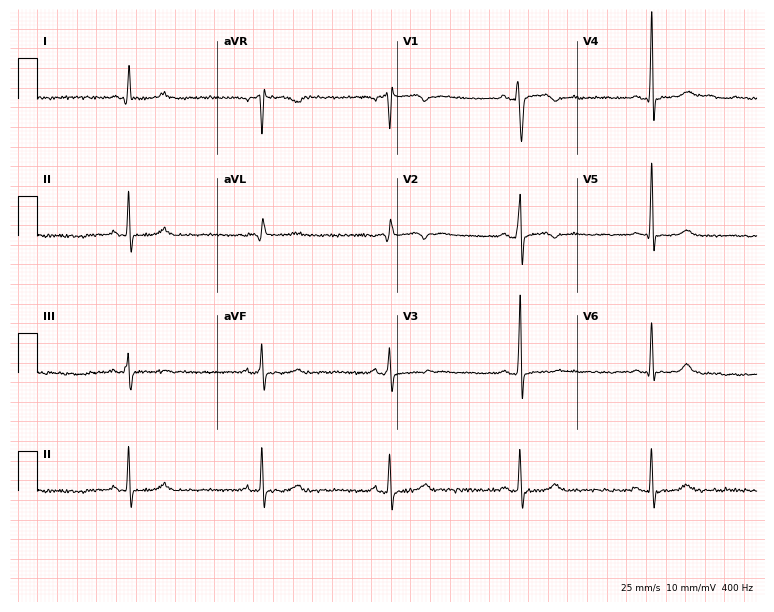
ECG (7.3-second recording at 400 Hz) — a 52-year-old man. Labelled as a normal ECG.